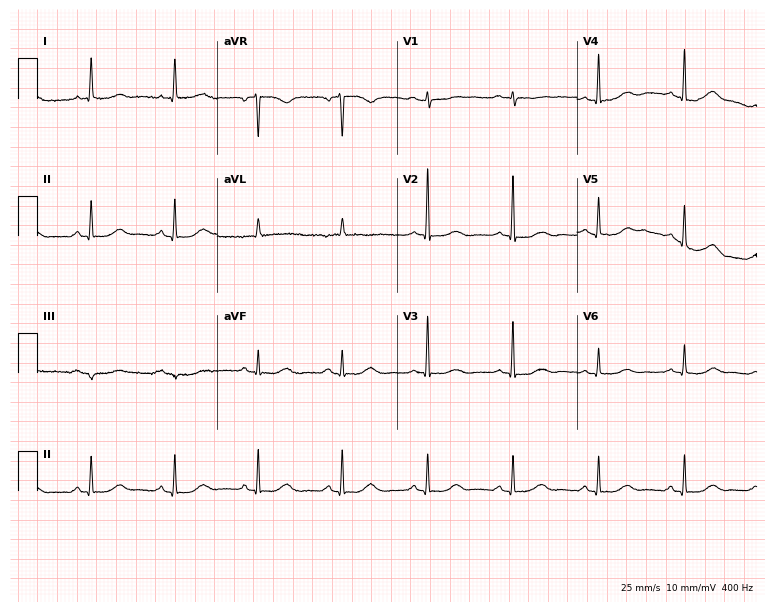
Electrocardiogram, an 80-year-old female patient. Of the six screened findings (first-degree AV block, right bundle branch block, left bundle branch block, sinus bradycardia, atrial fibrillation, sinus tachycardia), none is recorded.